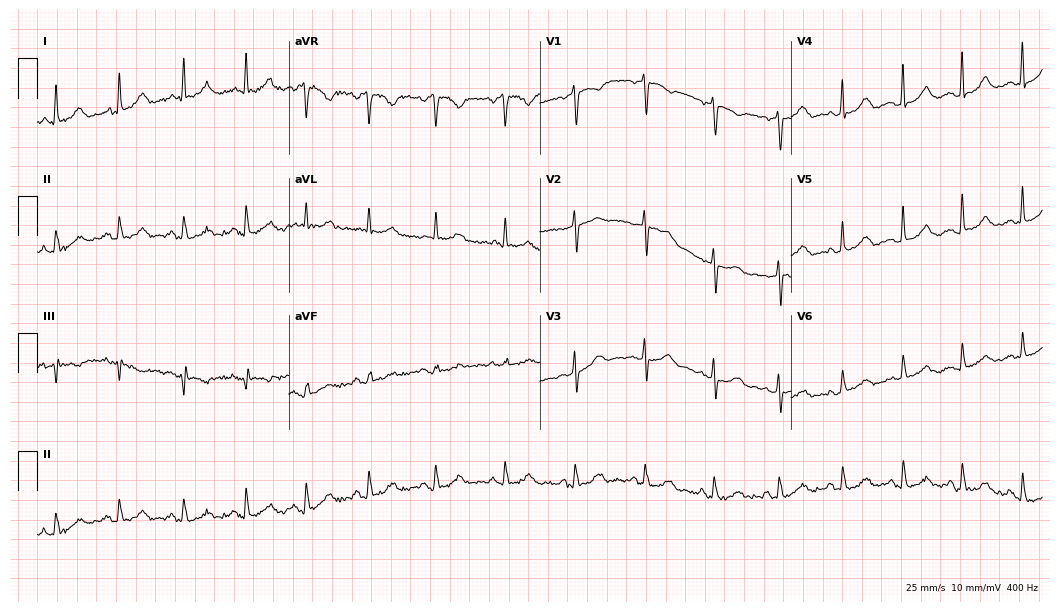
12-lead ECG (10.2-second recording at 400 Hz) from a 69-year-old female. Screened for six findings — first-degree AV block, right bundle branch block (RBBB), left bundle branch block (LBBB), sinus bradycardia, atrial fibrillation (AF), sinus tachycardia — none is recorded. Findings outside these six are not listed.